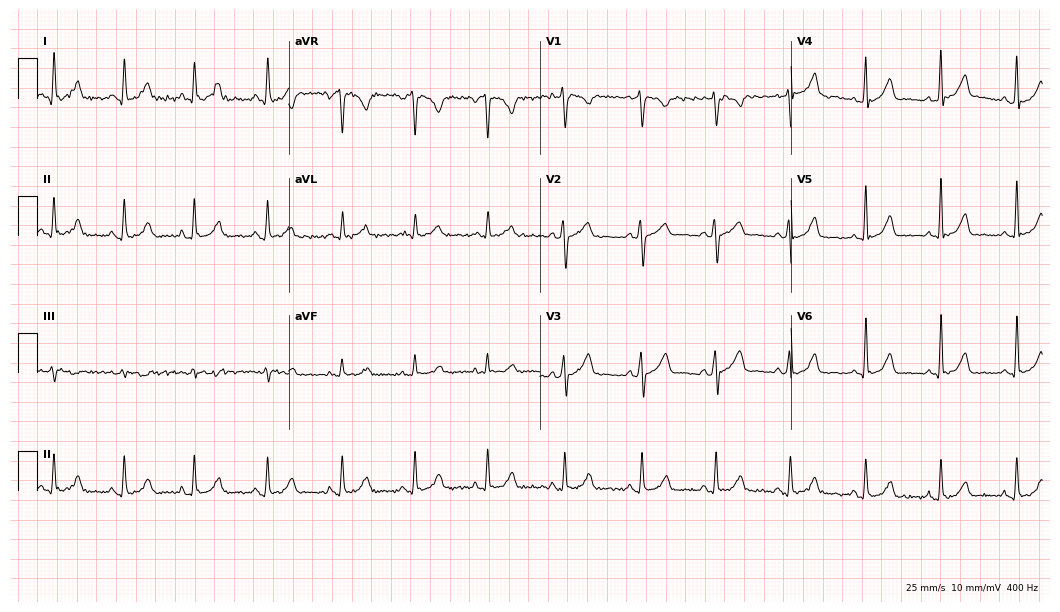
12-lead ECG (10.2-second recording at 400 Hz) from a 35-year-old female patient. Labelled as a normal ECG.